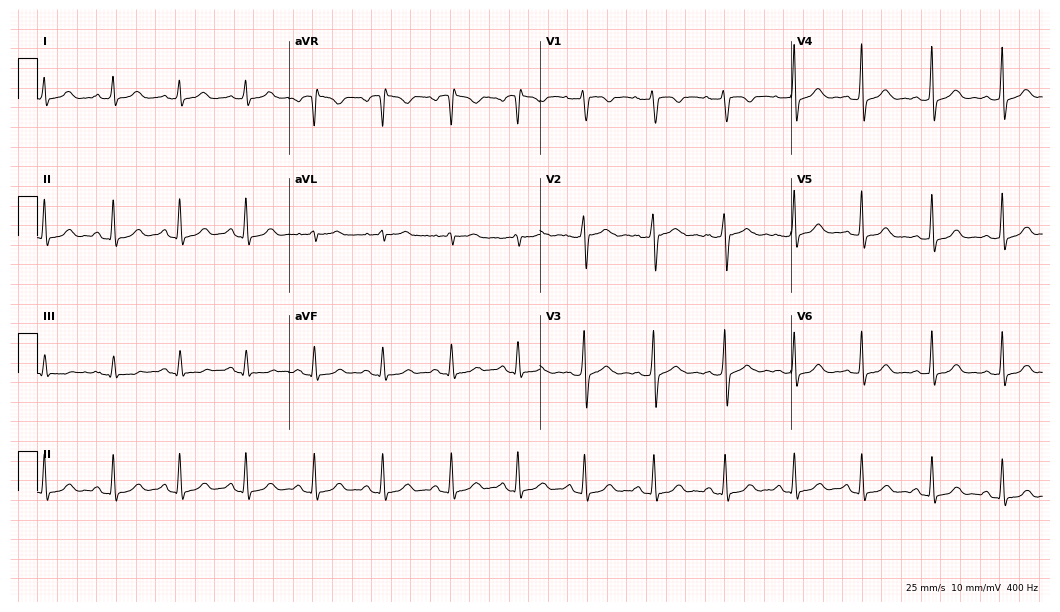
Resting 12-lead electrocardiogram. Patient: a 50-year-old female. Read as a normal ECG.